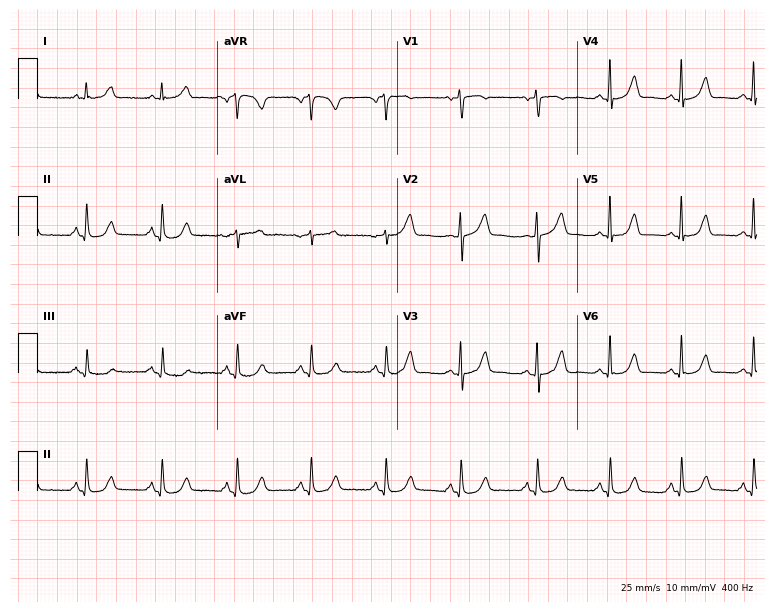
Electrocardiogram, a 66-year-old female. Overall reading on record: normal ECG.